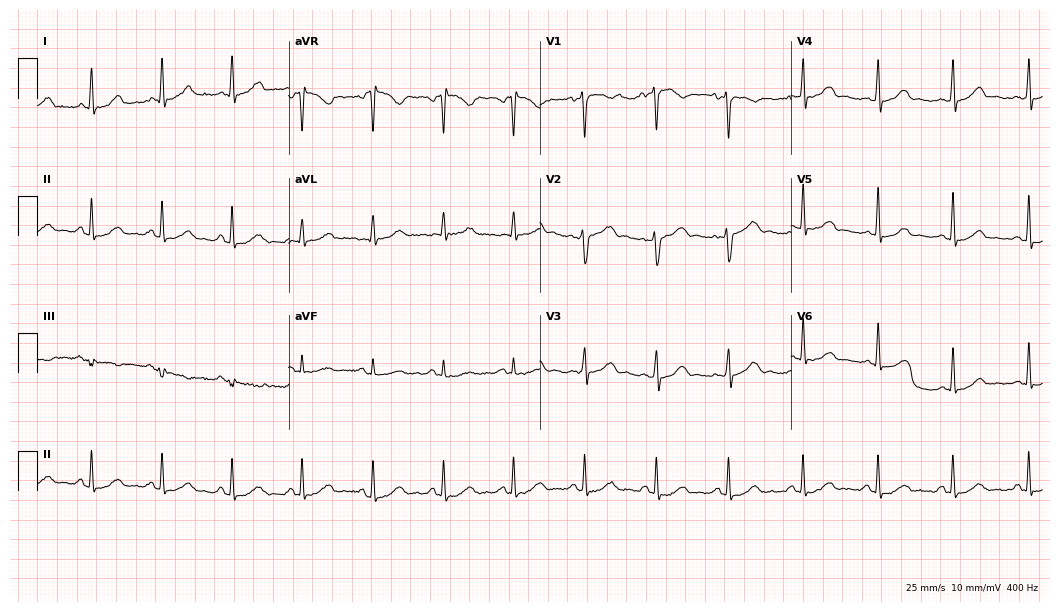
12-lead ECG (10.2-second recording at 400 Hz) from a 35-year-old female patient. Labelled as a normal ECG.